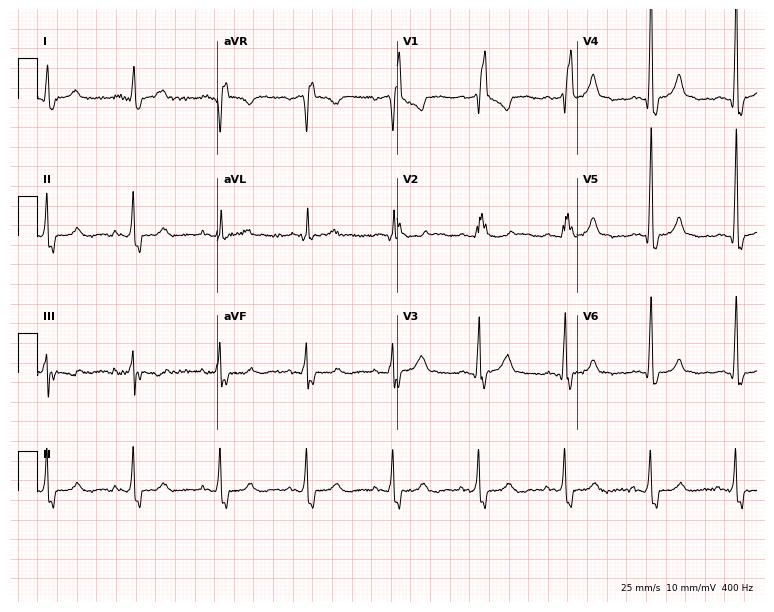
Electrocardiogram, a 47-year-old man. Interpretation includes right bundle branch block.